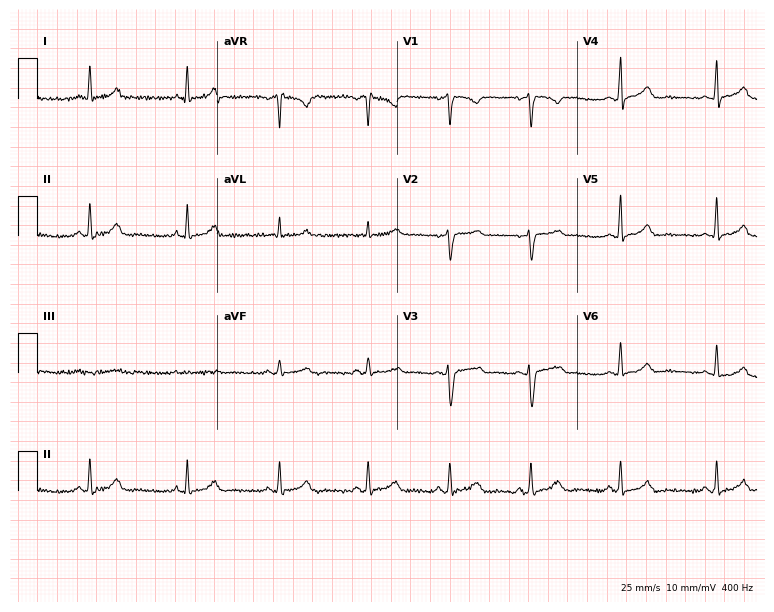
Resting 12-lead electrocardiogram (7.3-second recording at 400 Hz). Patient: a female, 38 years old. Read as a normal ECG.